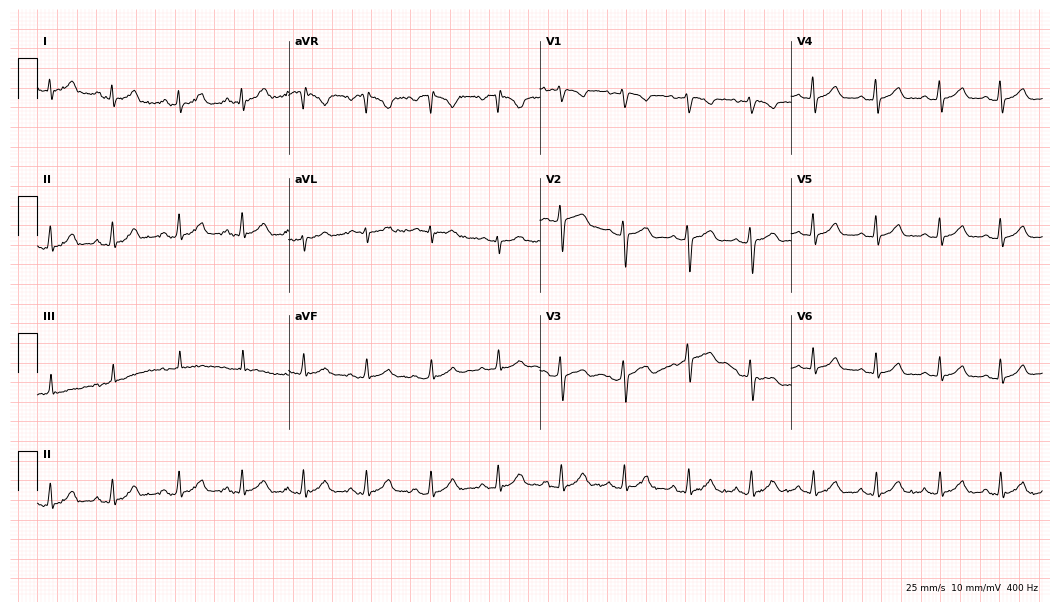
Standard 12-lead ECG recorded from a female patient, 19 years old (10.2-second recording at 400 Hz). Read as a normal ECG.